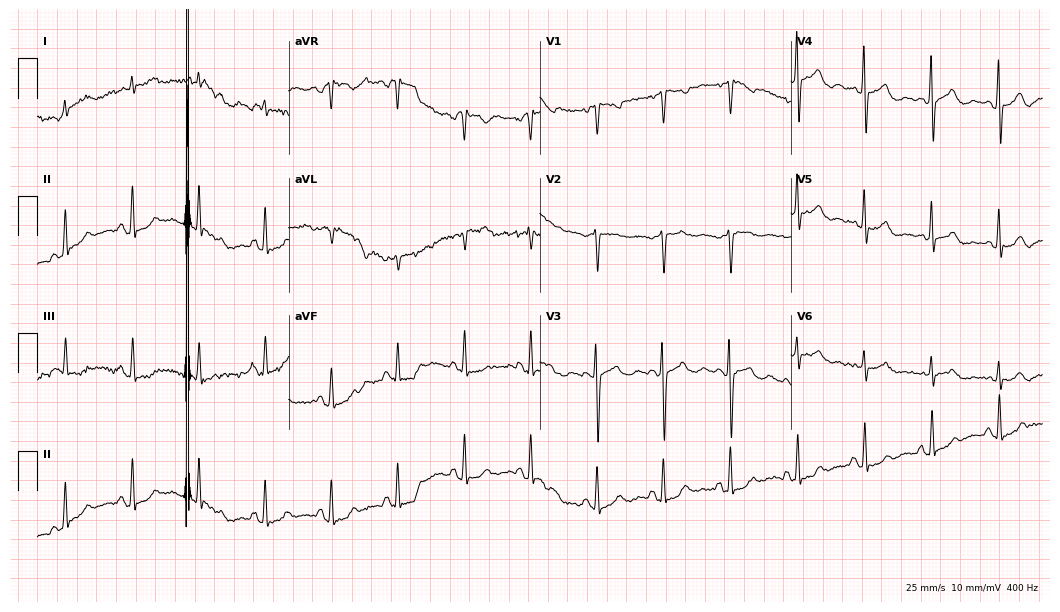
12-lead ECG from a 76-year-old woman. No first-degree AV block, right bundle branch block (RBBB), left bundle branch block (LBBB), sinus bradycardia, atrial fibrillation (AF) or sinus tachycardia recorded for this tracing.